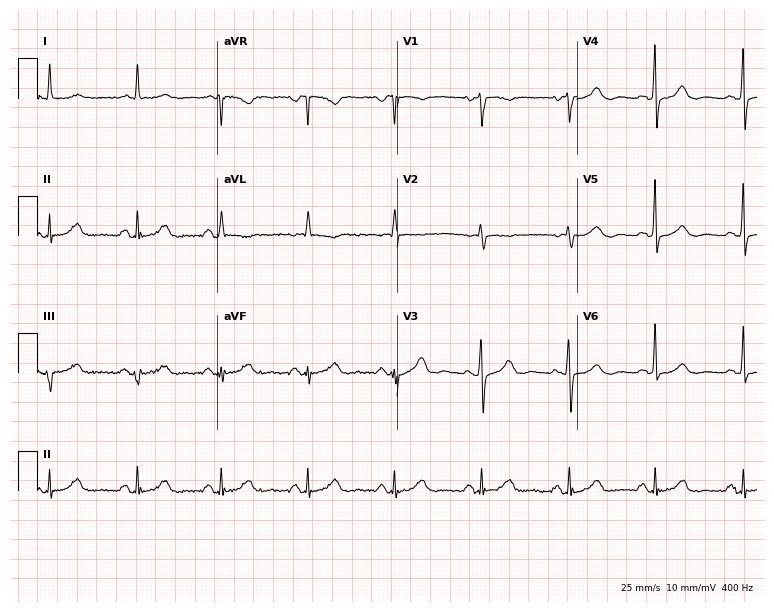
ECG — an 85-year-old woman. Labelled as a normal ECG.